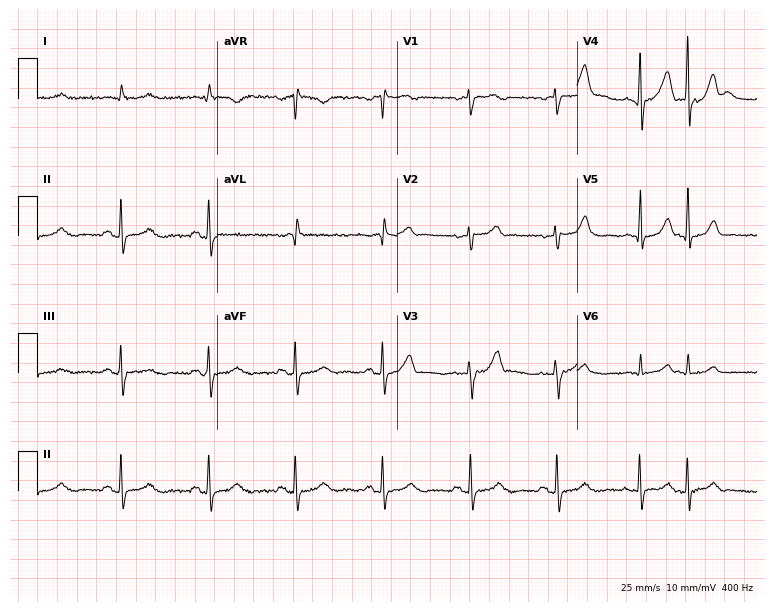
Electrocardiogram (7.3-second recording at 400 Hz), a 73-year-old male patient. Overall reading on record: normal ECG.